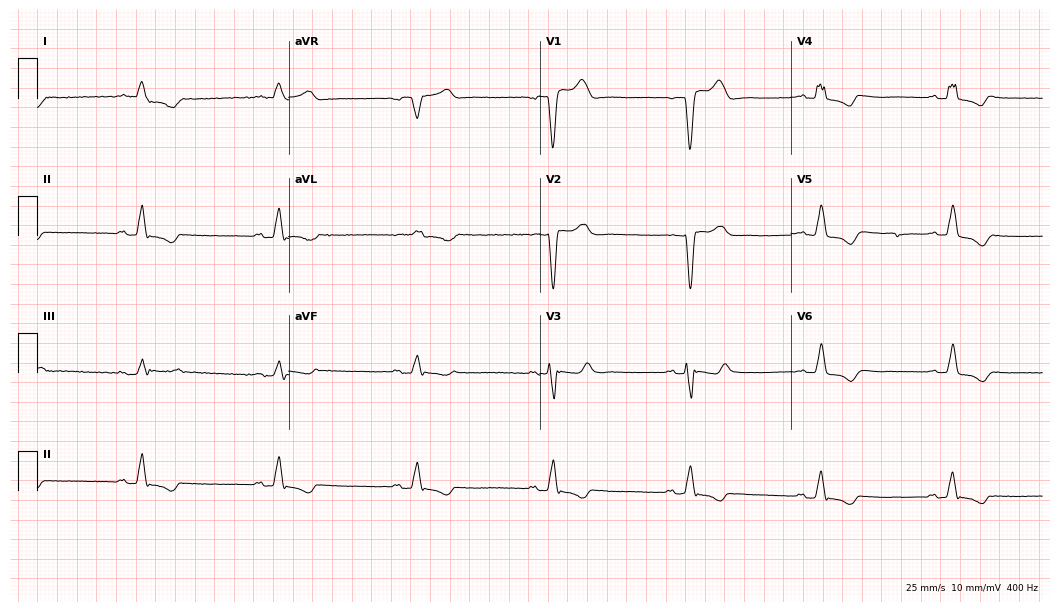
ECG — a man, 65 years old. Findings include left bundle branch block, sinus bradycardia (a sinus rate of 50 beats per minute or less).